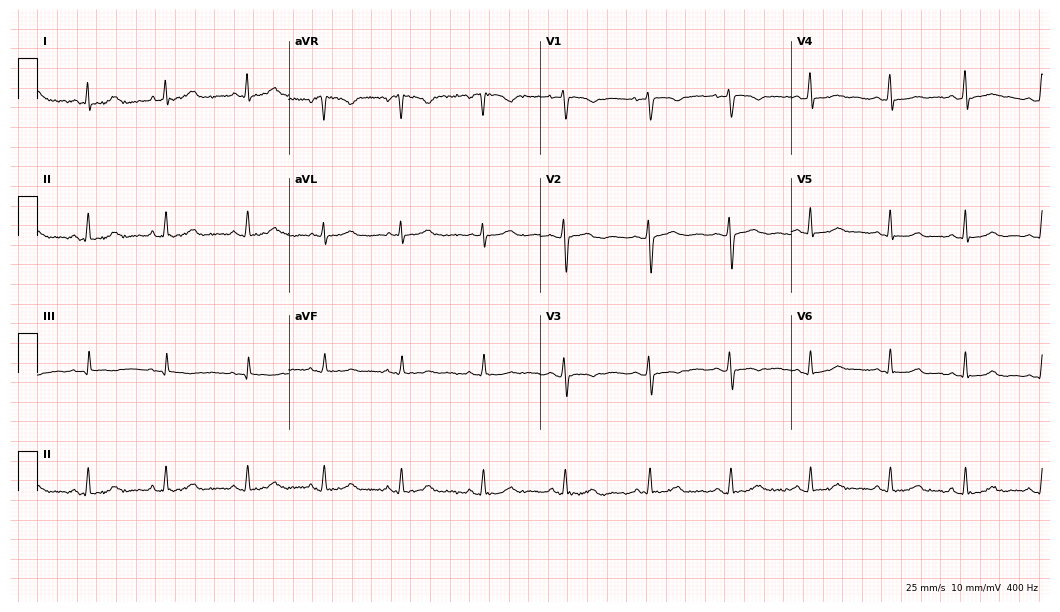
ECG (10.2-second recording at 400 Hz) — a 36-year-old female patient. Labelled as a normal ECG.